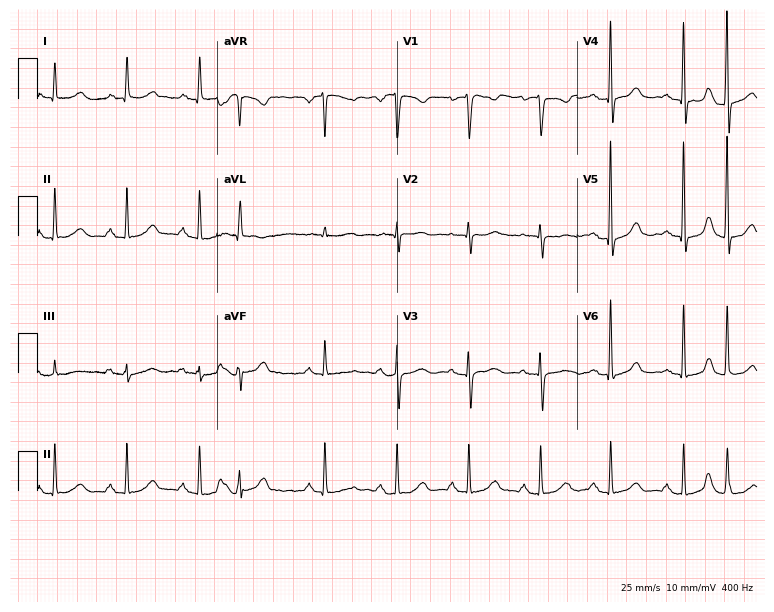
Resting 12-lead electrocardiogram (7.3-second recording at 400 Hz). Patient: a 58-year-old woman. None of these six findings is recorded: first-degree AV block, right bundle branch block, left bundle branch block, sinus bradycardia, atrial fibrillation, sinus tachycardia. Only these six findings were labelled.